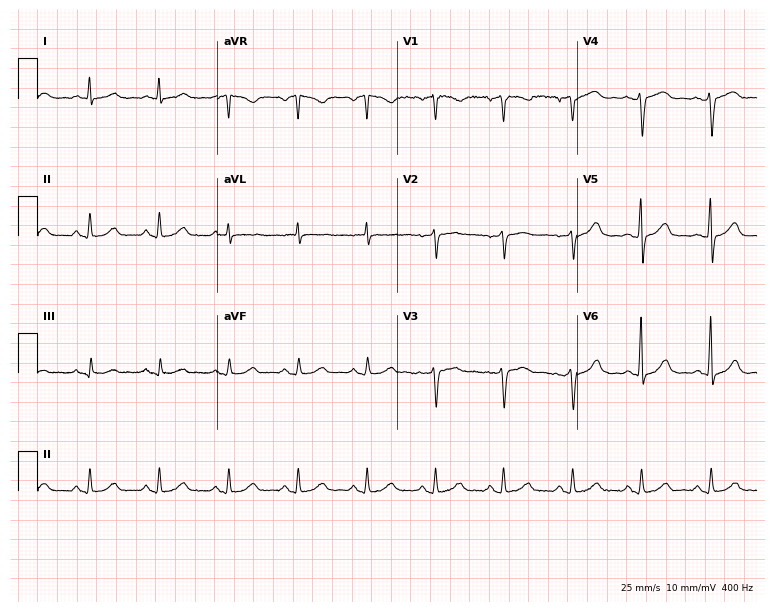
12-lead ECG from a 54-year-old female patient. Recorded interpretation: within normal limits.